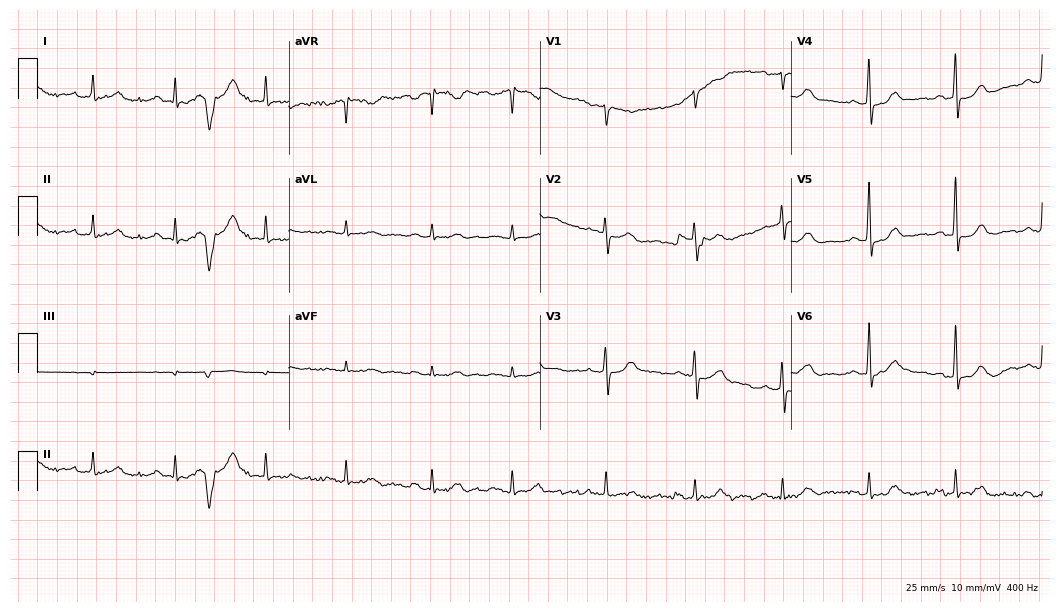
Electrocardiogram, an 85-year-old male. Of the six screened findings (first-degree AV block, right bundle branch block (RBBB), left bundle branch block (LBBB), sinus bradycardia, atrial fibrillation (AF), sinus tachycardia), none is recorded. Findings outside these six are not listed.